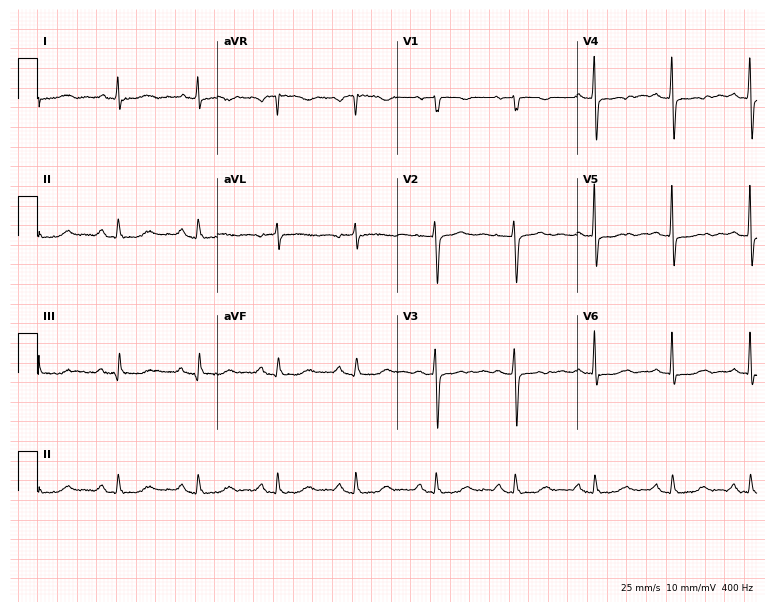
12-lead ECG from a 64-year-old woman. Labelled as a normal ECG.